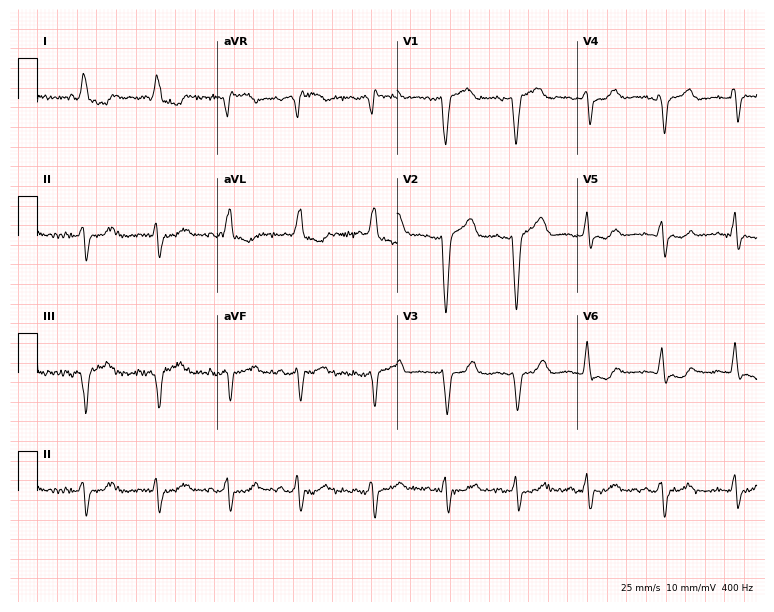
ECG (7.3-second recording at 400 Hz) — a female, 85 years old. Findings include left bundle branch block.